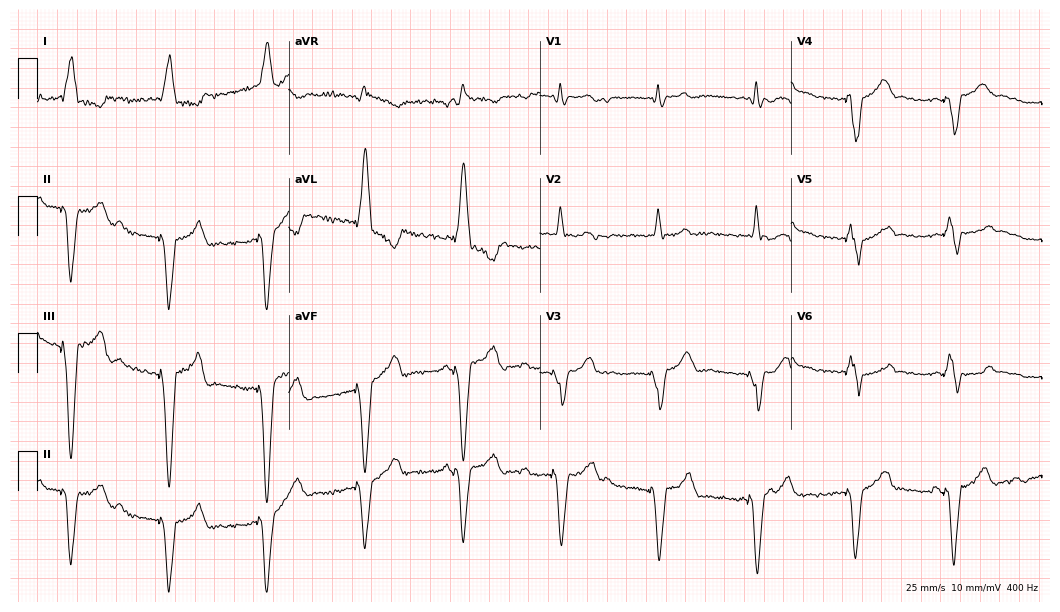
Standard 12-lead ECG recorded from a female patient, 83 years old. None of these six findings is recorded: first-degree AV block, right bundle branch block (RBBB), left bundle branch block (LBBB), sinus bradycardia, atrial fibrillation (AF), sinus tachycardia. Findings outside these six are not listed.